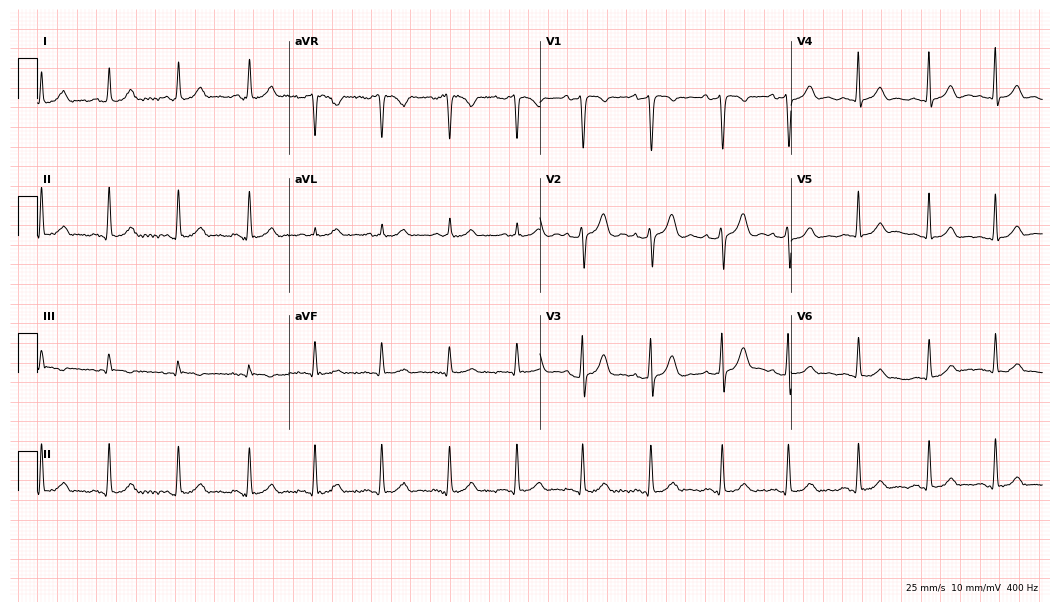
12-lead ECG from a female patient, 19 years old (10.2-second recording at 400 Hz). No first-degree AV block, right bundle branch block, left bundle branch block, sinus bradycardia, atrial fibrillation or sinus tachycardia recorded for this tracing.